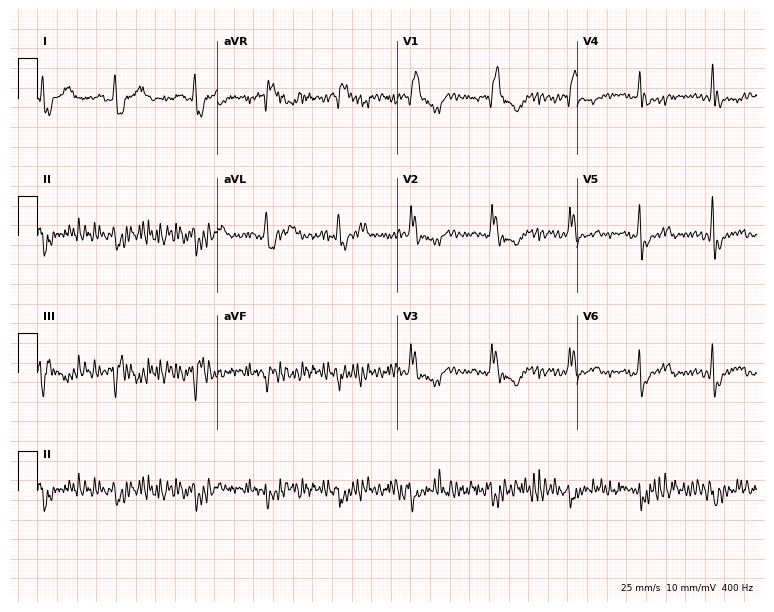
Resting 12-lead electrocardiogram. Patient: a woman, 74 years old. None of these six findings is recorded: first-degree AV block, right bundle branch block, left bundle branch block, sinus bradycardia, atrial fibrillation, sinus tachycardia. Findings outside these six are not listed.